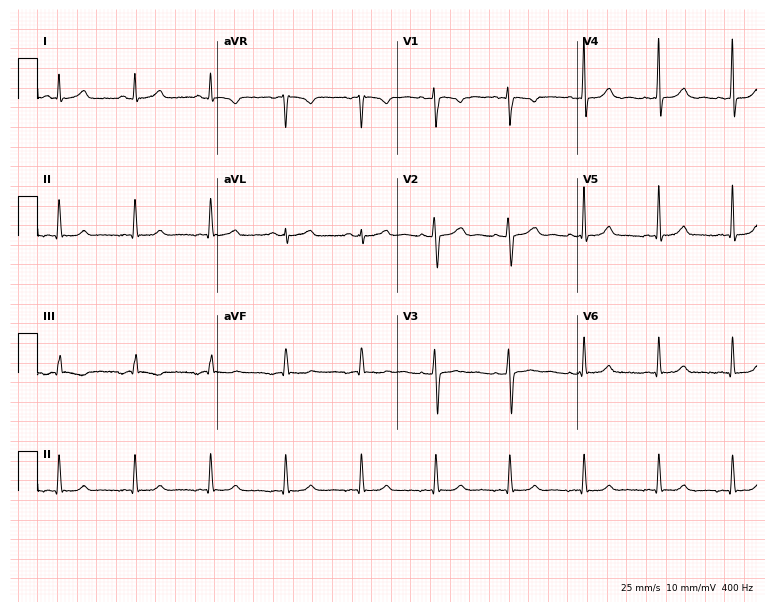
12-lead ECG (7.3-second recording at 400 Hz) from a 31-year-old female. Screened for six findings — first-degree AV block, right bundle branch block, left bundle branch block, sinus bradycardia, atrial fibrillation, sinus tachycardia — none is recorded. Findings outside these six are not listed.